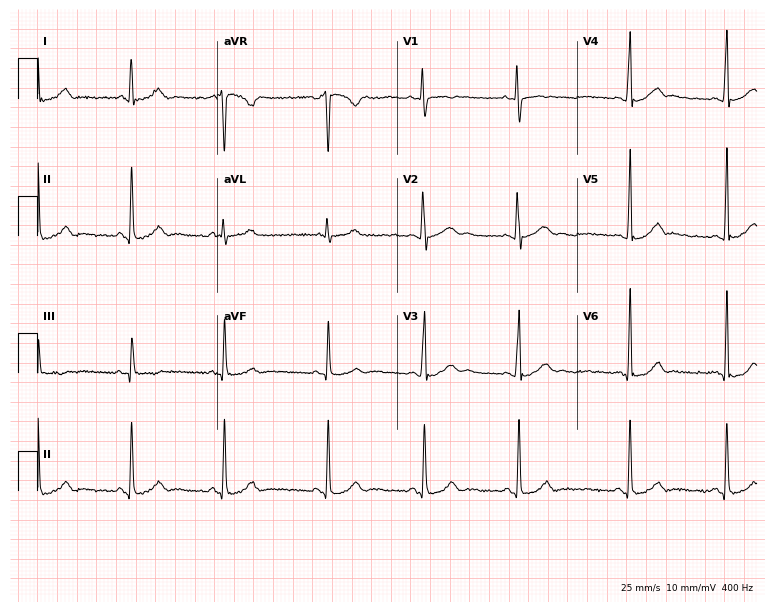
Electrocardiogram (7.3-second recording at 400 Hz), a female patient, 18 years old. Overall reading on record: normal ECG.